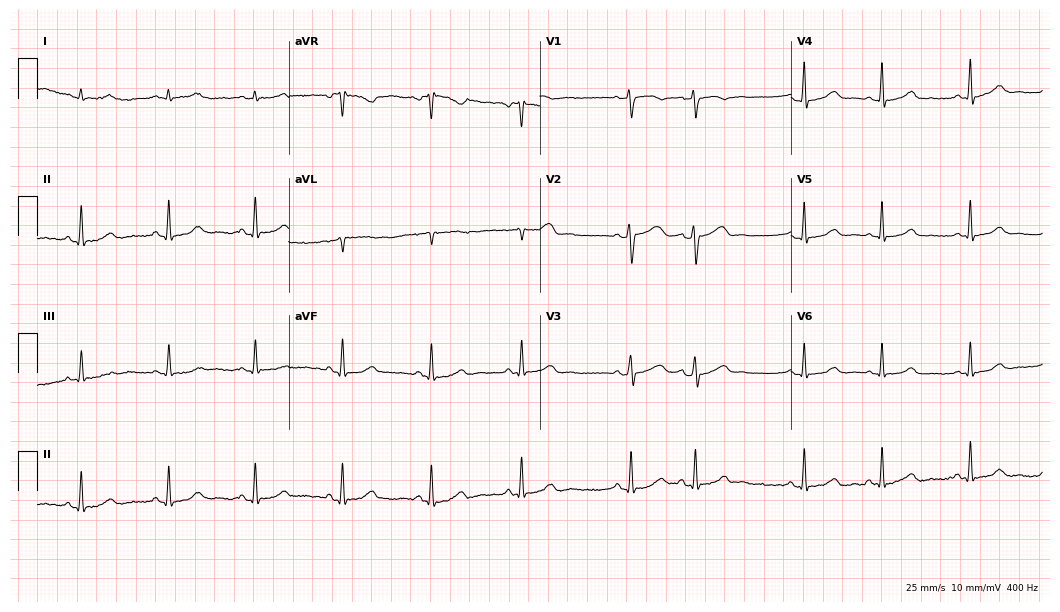
12-lead ECG from a 64-year-old female patient. Screened for six findings — first-degree AV block, right bundle branch block, left bundle branch block, sinus bradycardia, atrial fibrillation, sinus tachycardia — none is recorded. Findings outside these six are not listed.